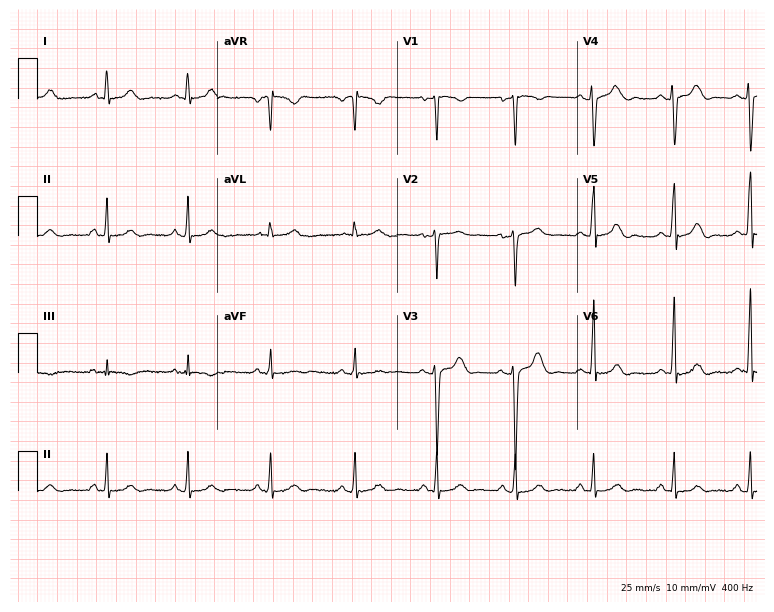
12-lead ECG from a female patient, 28 years old. Screened for six findings — first-degree AV block, right bundle branch block (RBBB), left bundle branch block (LBBB), sinus bradycardia, atrial fibrillation (AF), sinus tachycardia — none is recorded.